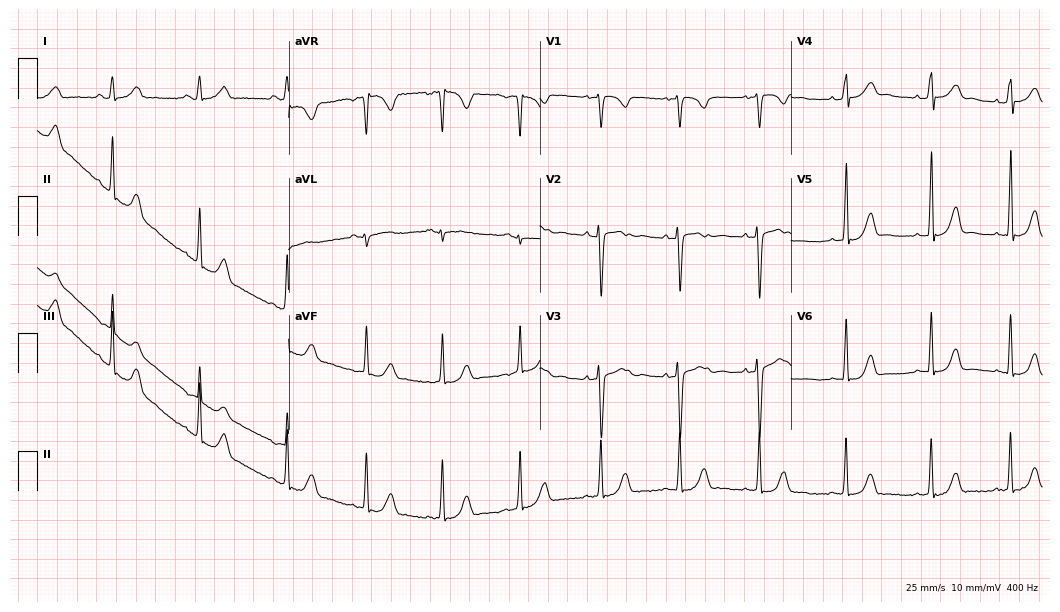
Standard 12-lead ECG recorded from a female patient, 21 years old. Read as a normal ECG.